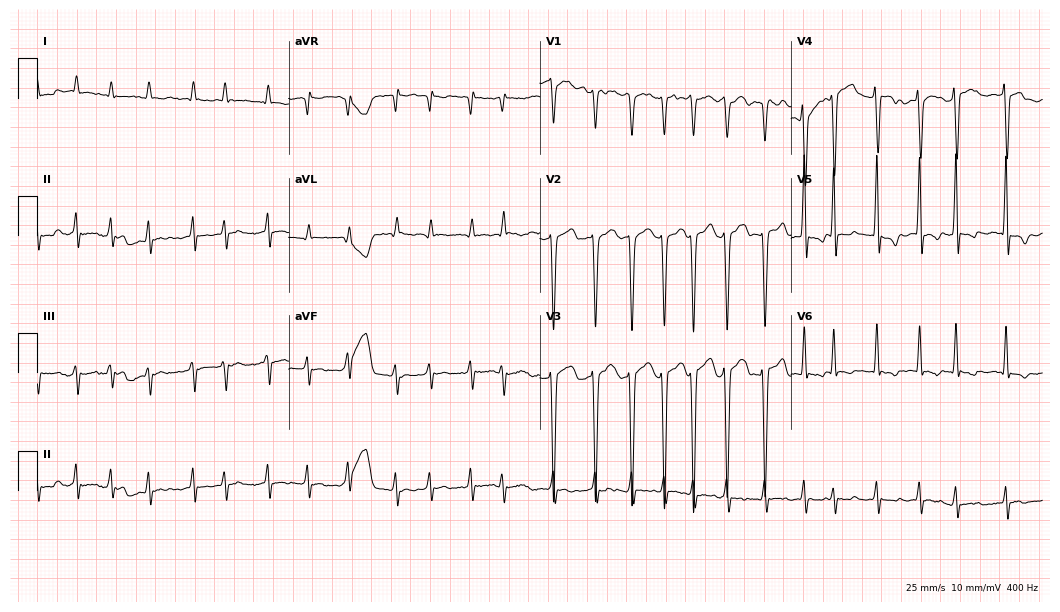
12-lead ECG from a man, 59 years old. Findings include atrial fibrillation.